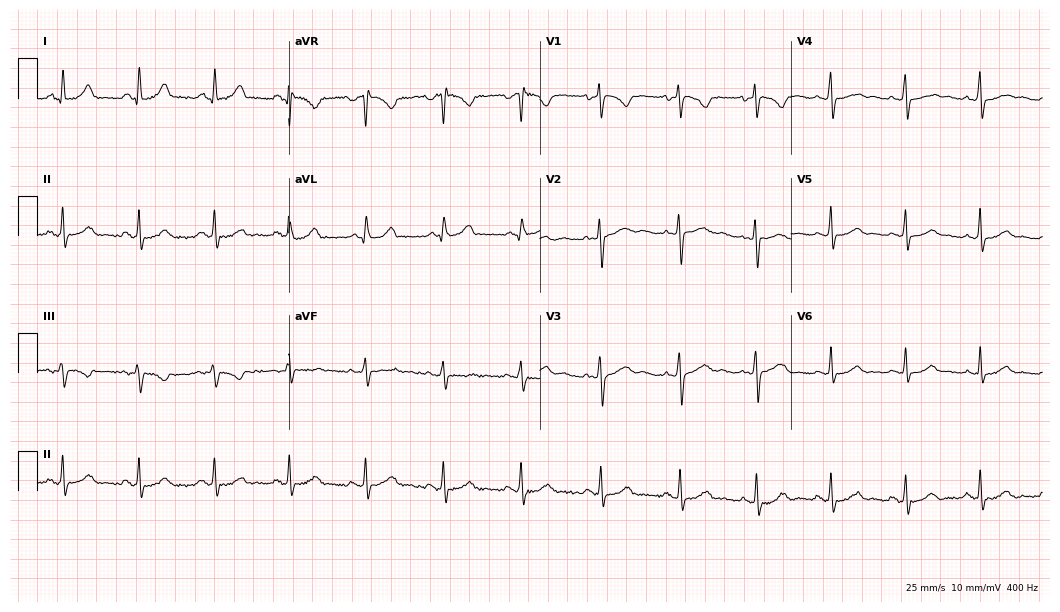
12-lead ECG (10.2-second recording at 400 Hz) from a 39-year-old female patient. Labelled as a normal ECG.